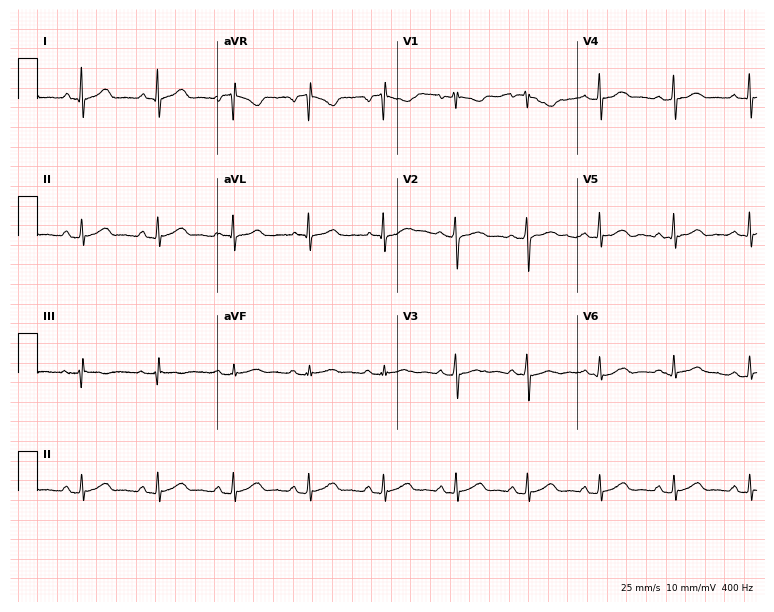
Electrocardiogram, a woman, 47 years old. Overall reading on record: normal ECG.